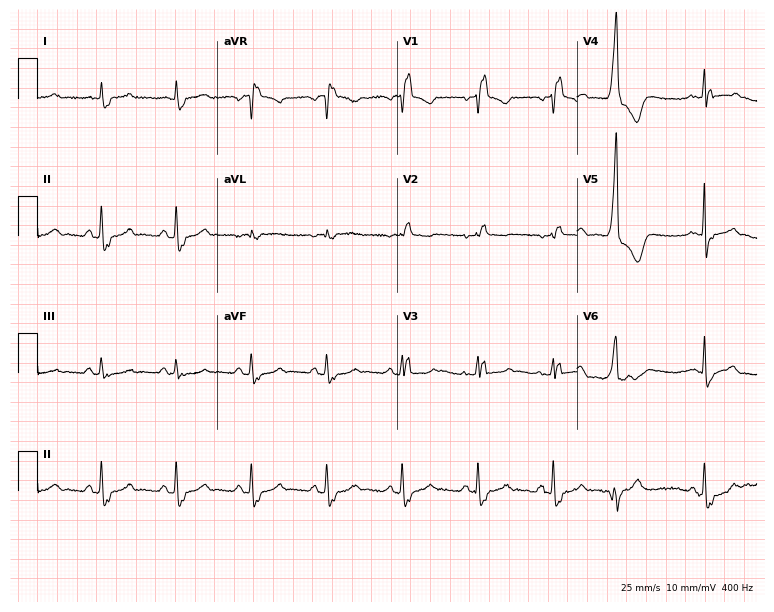
Electrocardiogram (7.3-second recording at 400 Hz), a 75-year-old male. Interpretation includes right bundle branch block.